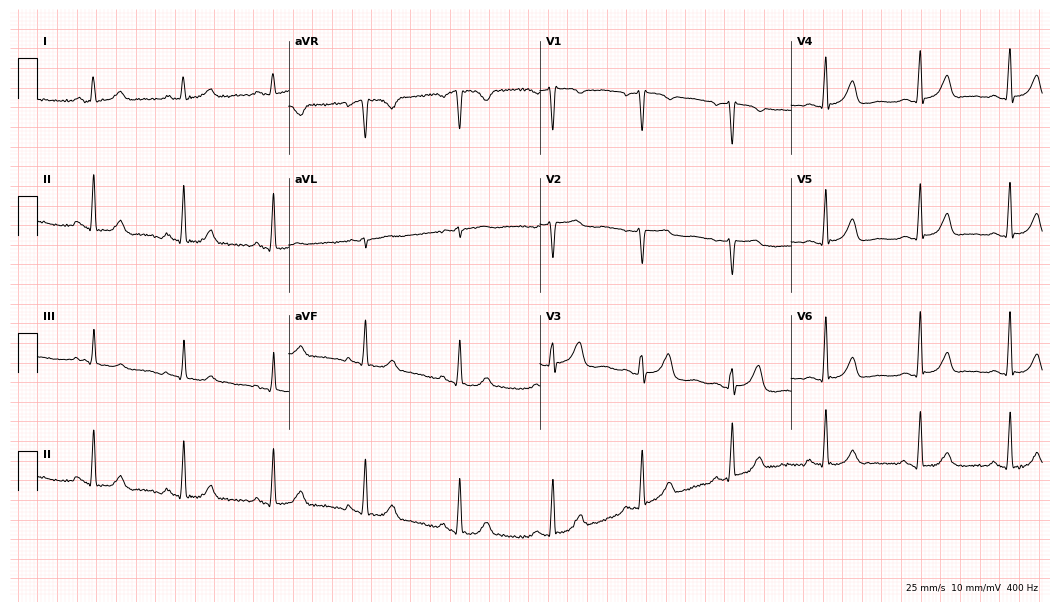
Resting 12-lead electrocardiogram (10.2-second recording at 400 Hz). Patient: a 51-year-old female. Read as a normal ECG.